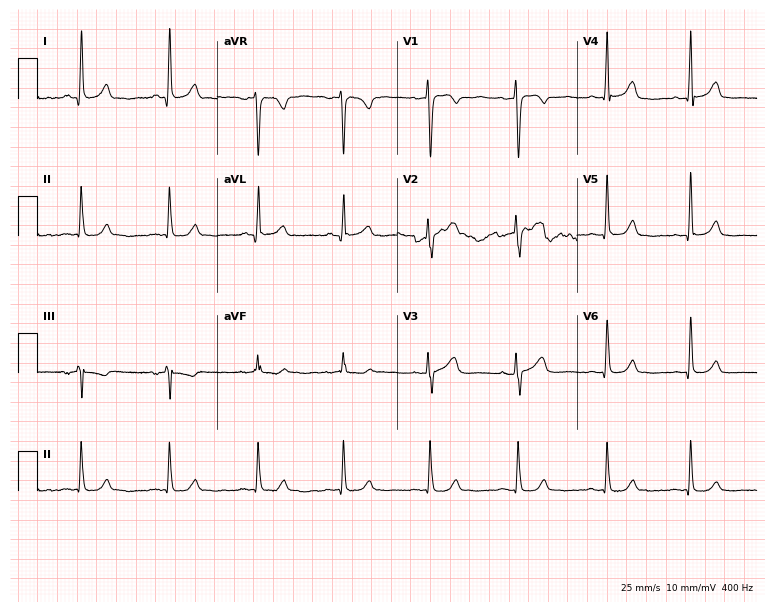
Resting 12-lead electrocardiogram. Patient: a 51-year-old female. None of these six findings is recorded: first-degree AV block, right bundle branch block, left bundle branch block, sinus bradycardia, atrial fibrillation, sinus tachycardia.